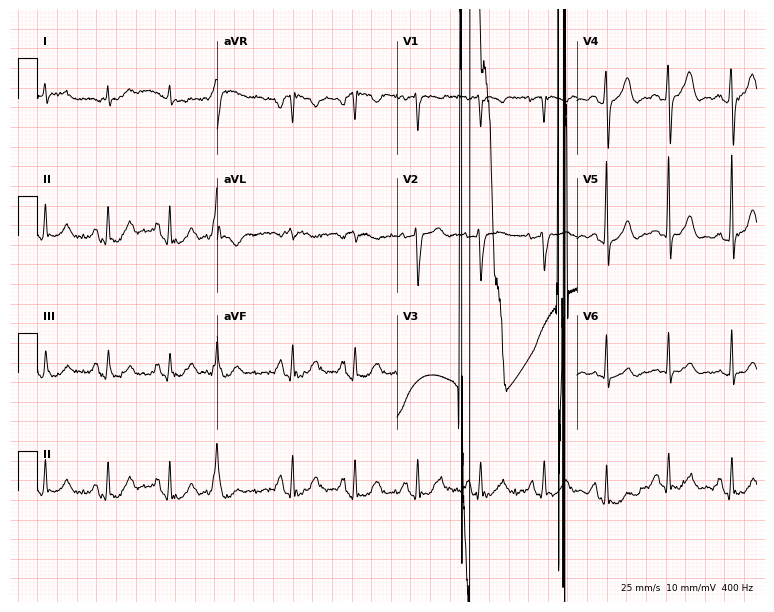
ECG (7.3-second recording at 400 Hz) — a 65-year-old male patient. Screened for six findings — first-degree AV block, right bundle branch block (RBBB), left bundle branch block (LBBB), sinus bradycardia, atrial fibrillation (AF), sinus tachycardia — none is recorded. Findings outside these six are not listed.